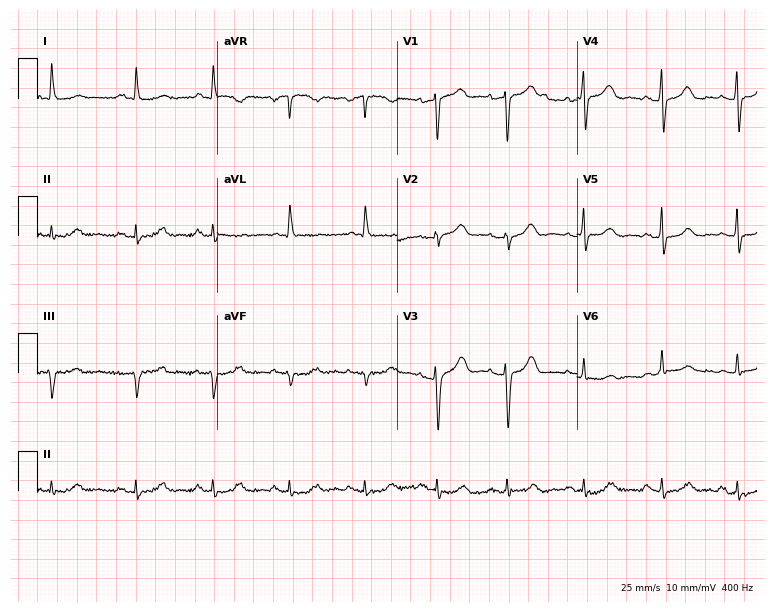
12-lead ECG from a 79-year-old female patient. Labelled as a normal ECG.